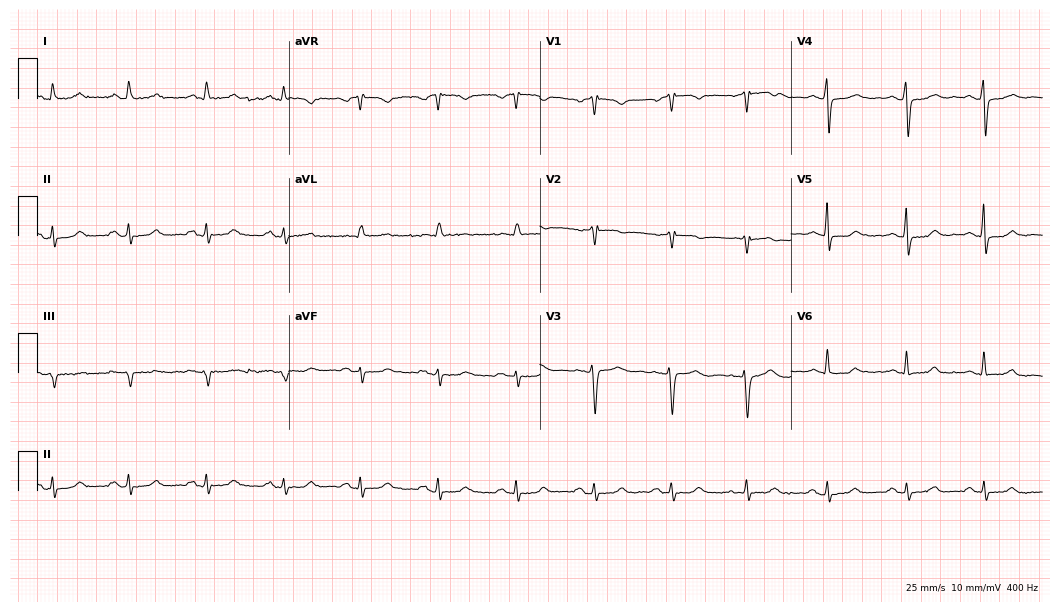
Standard 12-lead ECG recorded from a female, 54 years old. None of these six findings is recorded: first-degree AV block, right bundle branch block, left bundle branch block, sinus bradycardia, atrial fibrillation, sinus tachycardia.